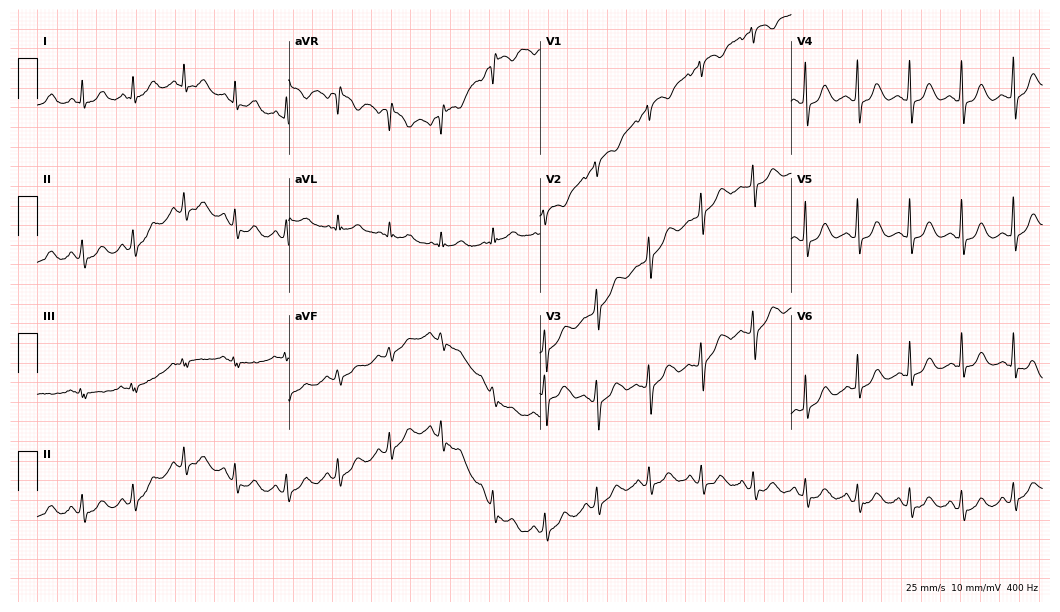
Standard 12-lead ECG recorded from a female patient, 58 years old. The tracing shows sinus tachycardia (a sinus rate of 100 beats per minute or more).